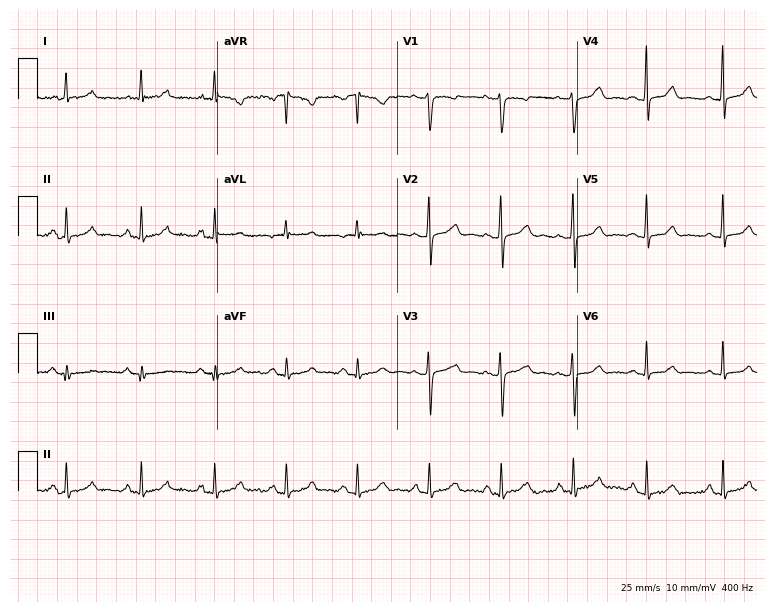
Electrocardiogram (7.3-second recording at 400 Hz), a 45-year-old female. Overall reading on record: normal ECG.